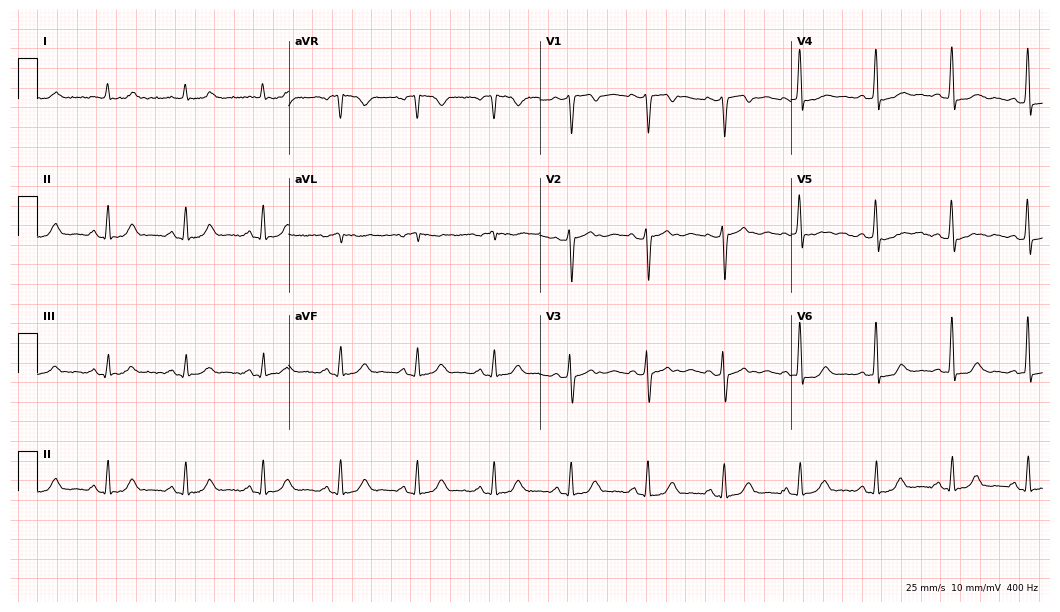
ECG — a 79-year-old man. Labelled as a normal ECG.